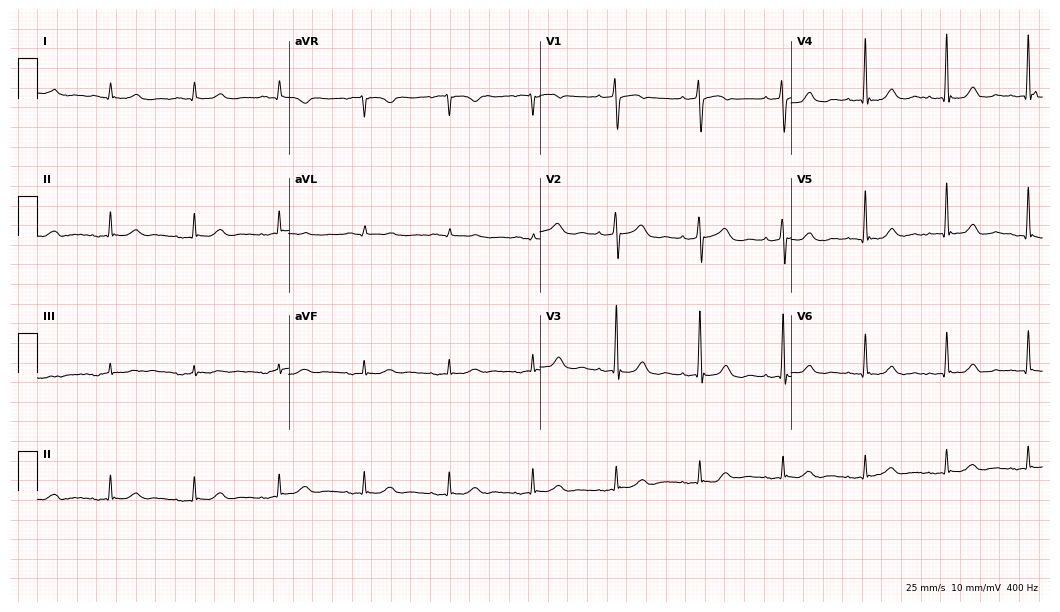
12-lead ECG (10.2-second recording at 400 Hz) from a man, 81 years old. Screened for six findings — first-degree AV block, right bundle branch block (RBBB), left bundle branch block (LBBB), sinus bradycardia, atrial fibrillation (AF), sinus tachycardia — none is recorded.